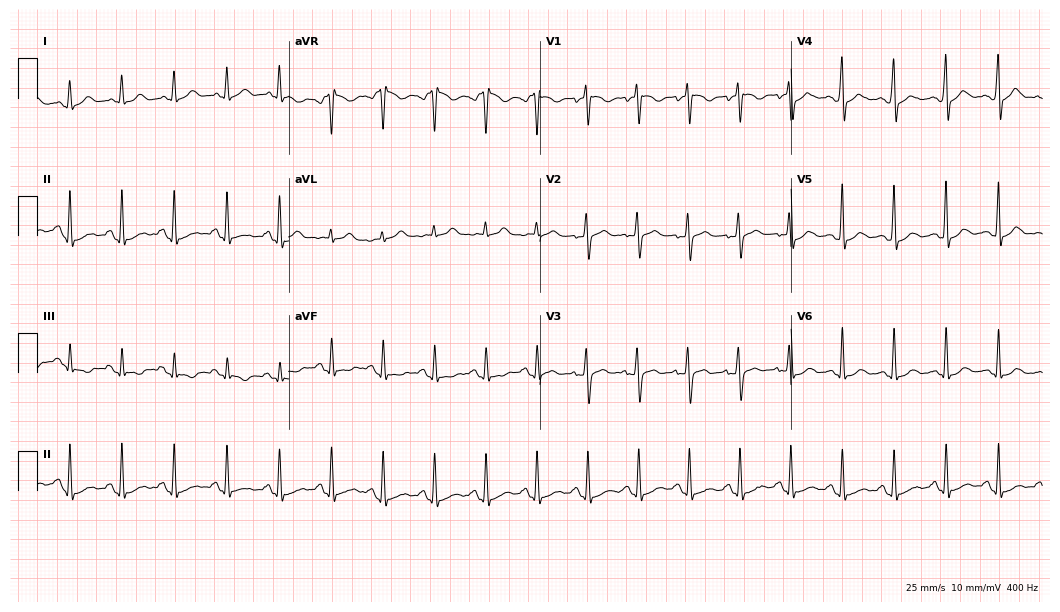
Electrocardiogram, a 24-year-old woman. Interpretation includes sinus tachycardia (a sinus rate of 100 beats per minute or more).